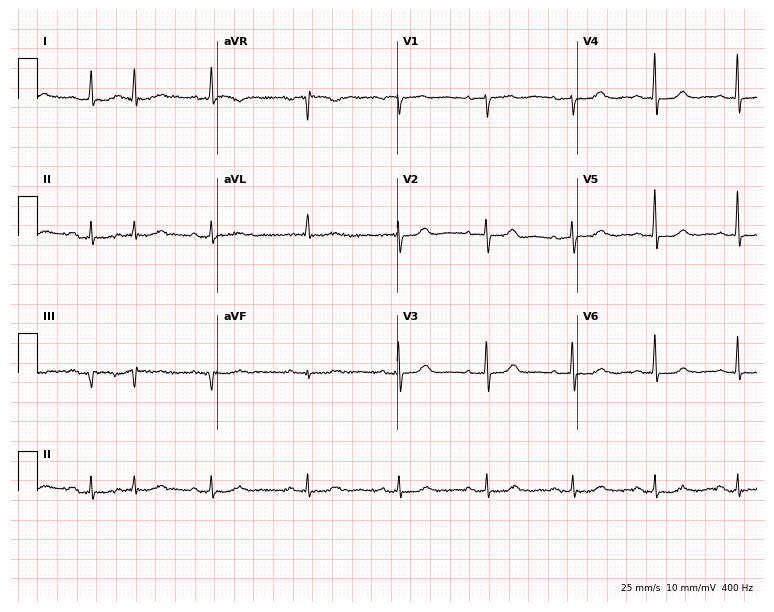
Electrocardiogram, a female patient, 82 years old. Of the six screened findings (first-degree AV block, right bundle branch block (RBBB), left bundle branch block (LBBB), sinus bradycardia, atrial fibrillation (AF), sinus tachycardia), none is recorded. Findings outside these six are not listed.